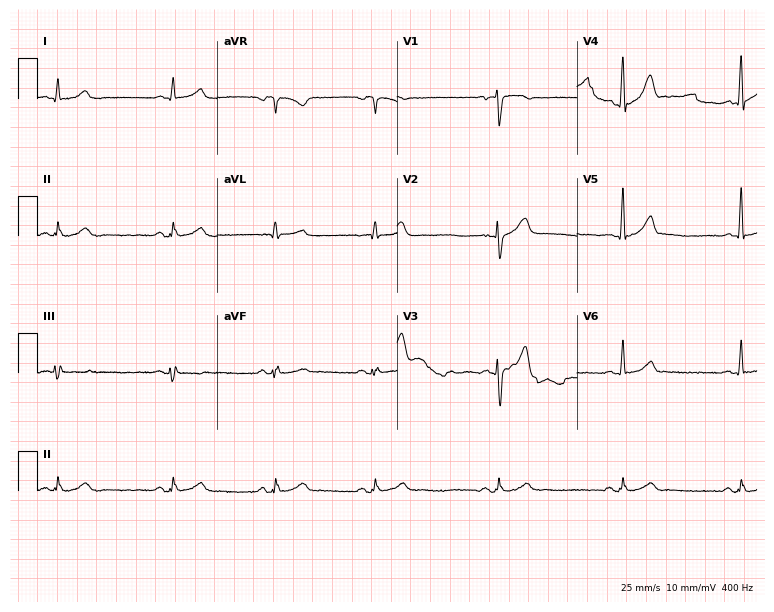
Electrocardiogram, a male patient, 32 years old. Of the six screened findings (first-degree AV block, right bundle branch block (RBBB), left bundle branch block (LBBB), sinus bradycardia, atrial fibrillation (AF), sinus tachycardia), none is recorded. Other findings, if any, are not listed.